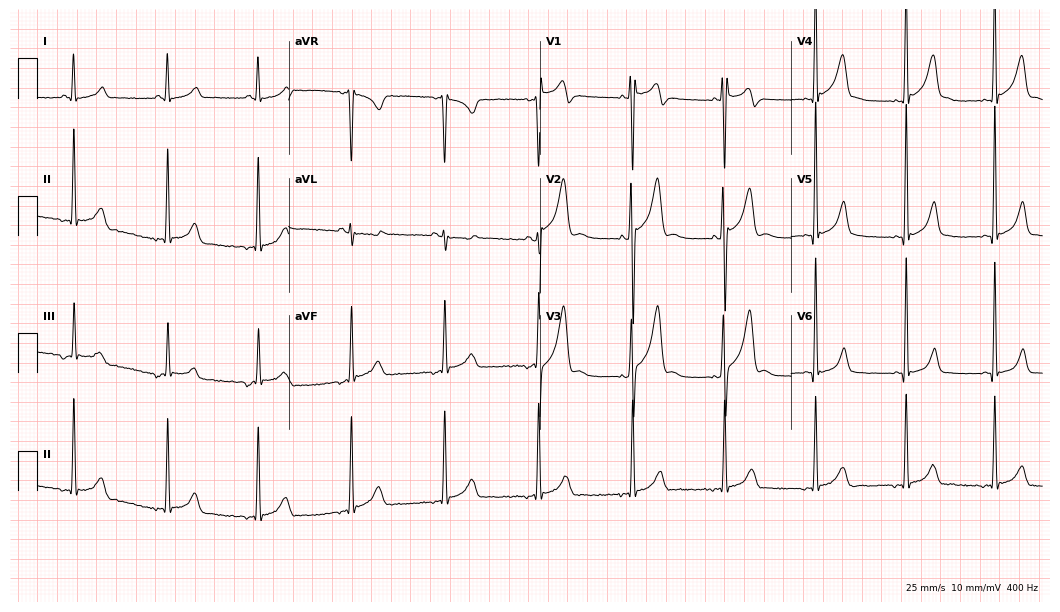
12-lead ECG from a male, 22 years old. Screened for six findings — first-degree AV block, right bundle branch block, left bundle branch block, sinus bradycardia, atrial fibrillation, sinus tachycardia — none is recorded. Findings outside these six are not listed.